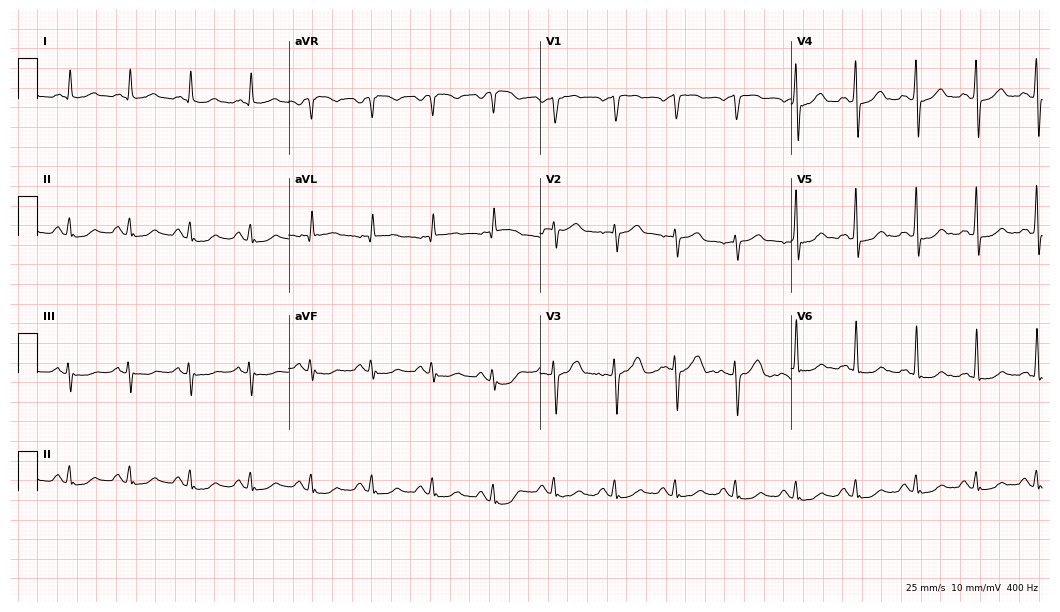
12-lead ECG from a 69-year-old man. Recorded interpretation: within normal limits.